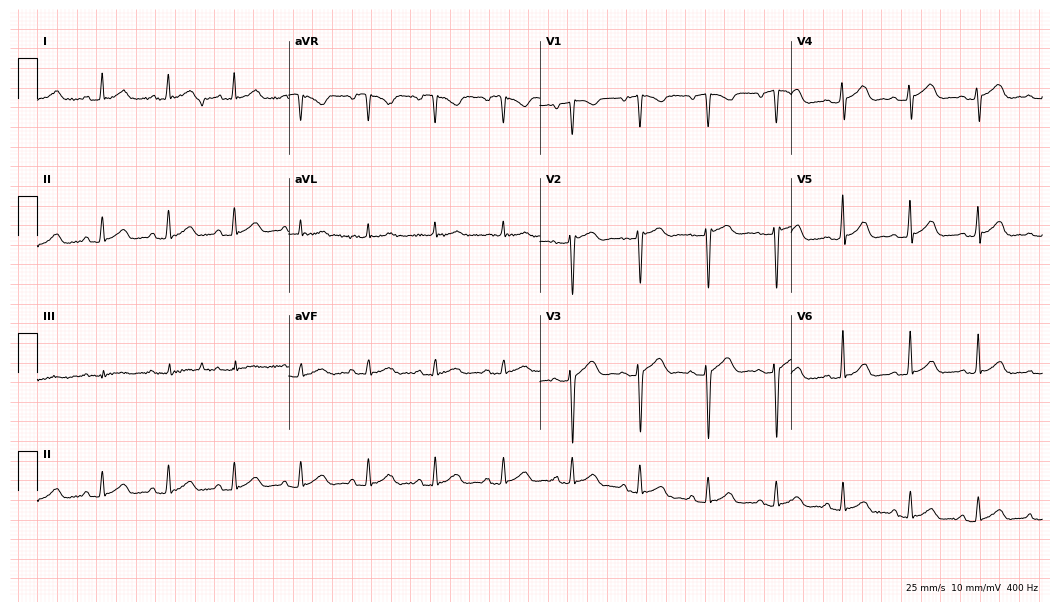
Resting 12-lead electrocardiogram (10.2-second recording at 400 Hz). Patient: a 44-year-old man. None of these six findings is recorded: first-degree AV block, right bundle branch block, left bundle branch block, sinus bradycardia, atrial fibrillation, sinus tachycardia. Findings outside these six are not listed.